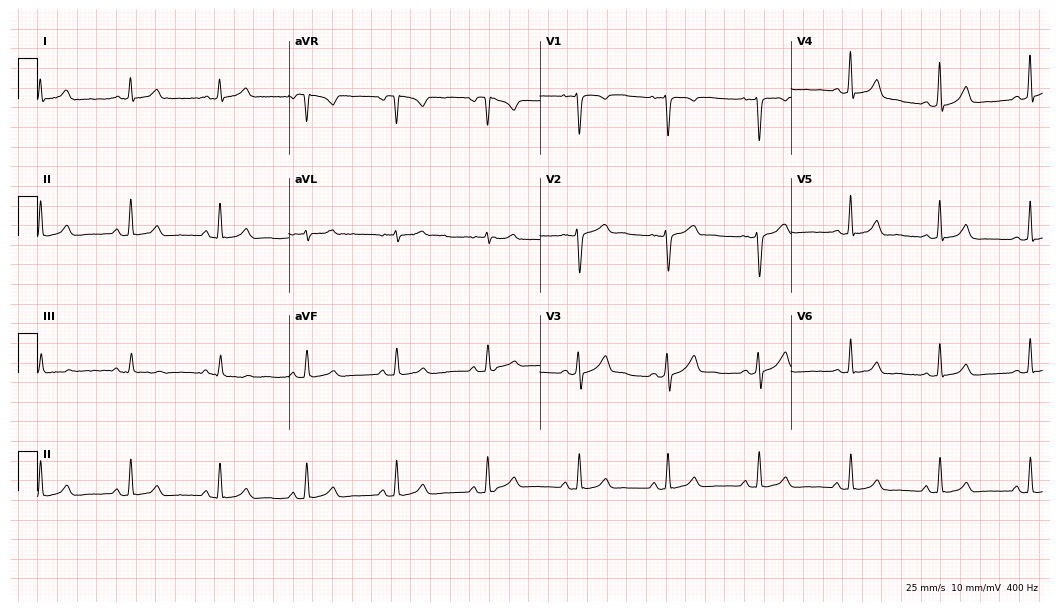
12-lead ECG from a female patient, 38 years old (10.2-second recording at 400 Hz). Recorded interpretation: within normal limits.